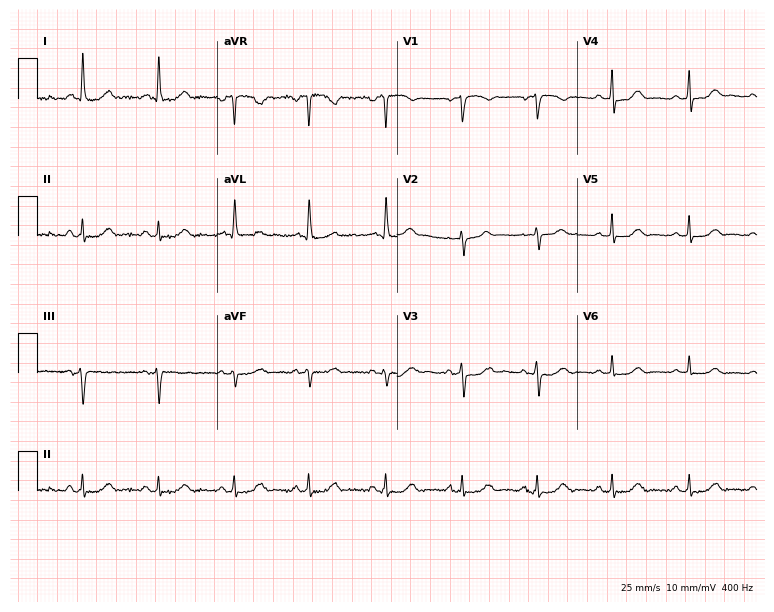
12-lead ECG from a 55-year-old female (7.3-second recording at 400 Hz). No first-degree AV block, right bundle branch block, left bundle branch block, sinus bradycardia, atrial fibrillation or sinus tachycardia recorded for this tracing. Other findings, if any, are not listed.